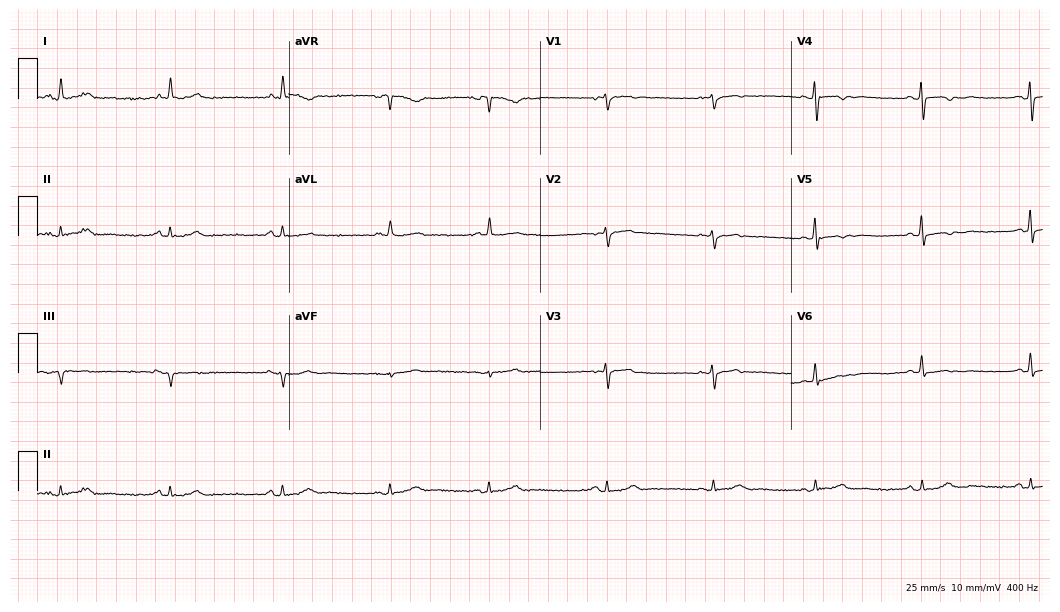
12-lead ECG from a woman, 59 years old (10.2-second recording at 400 Hz). No first-degree AV block, right bundle branch block, left bundle branch block, sinus bradycardia, atrial fibrillation or sinus tachycardia recorded for this tracing.